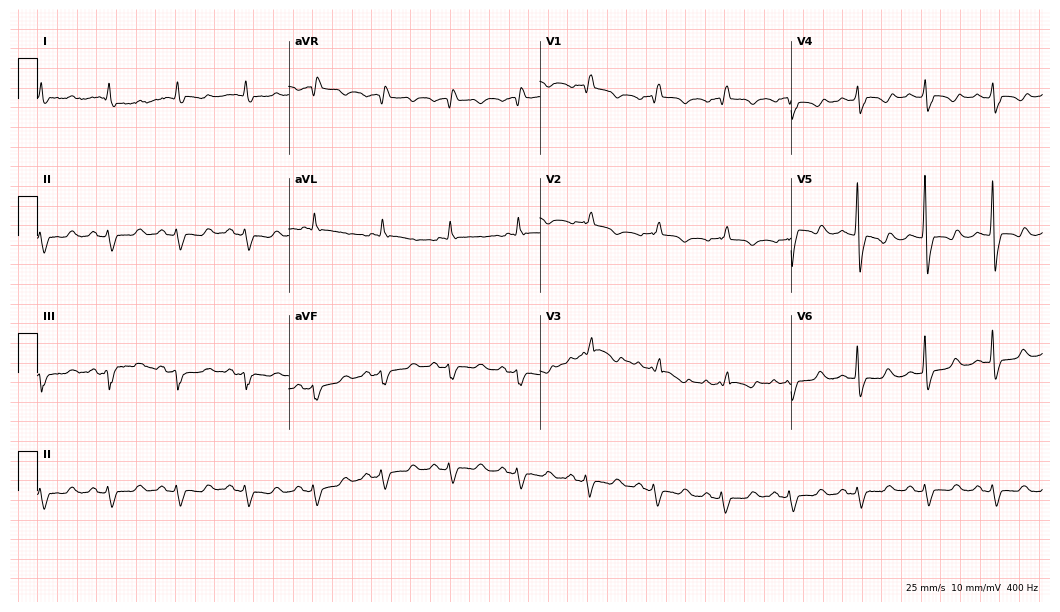
12-lead ECG from a female, 84 years old (10.2-second recording at 400 Hz). No first-degree AV block, right bundle branch block (RBBB), left bundle branch block (LBBB), sinus bradycardia, atrial fibrillation (AF) or sinus tachycardia recorded for this tracing.